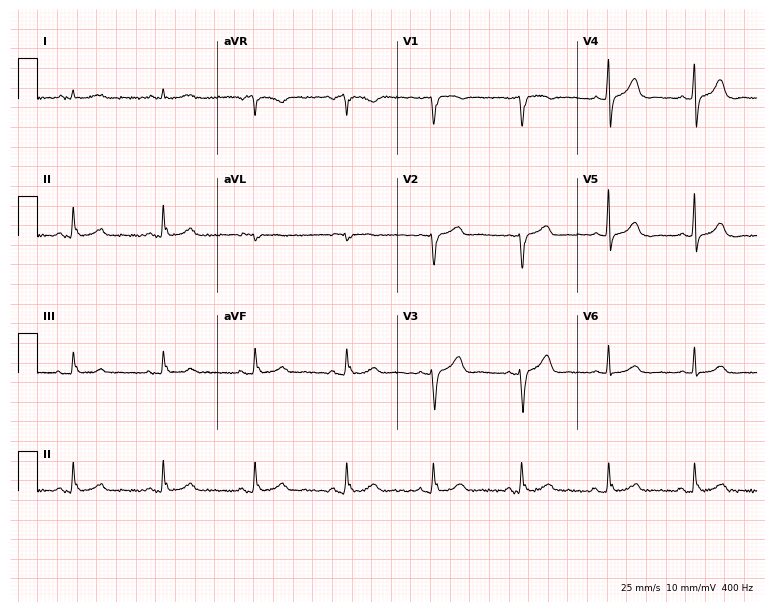
Standard 12-lead ECG recorded from a female, 59 years old (7.3-second recording at 400 Hz). Read as a normal ECG.